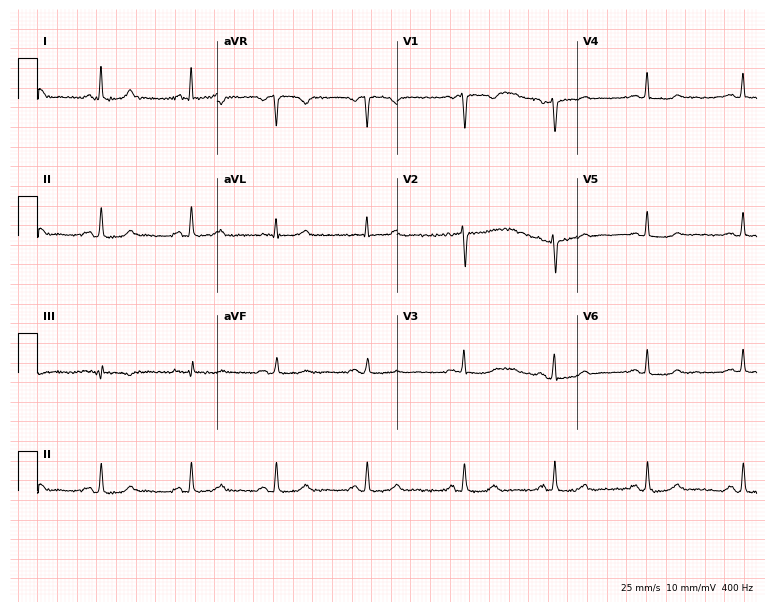
Resting 12-lead electrocardiogram (7.3-second recording at 400 Hz). Patient: a female, 48 years old. None of these six findings is recorded: first-degree AV block, right bundle branch block (RBBB), left bundle branch block (LBBB), sinus bradycardia, atrial fibrillation (AF), sinus tachycardia.